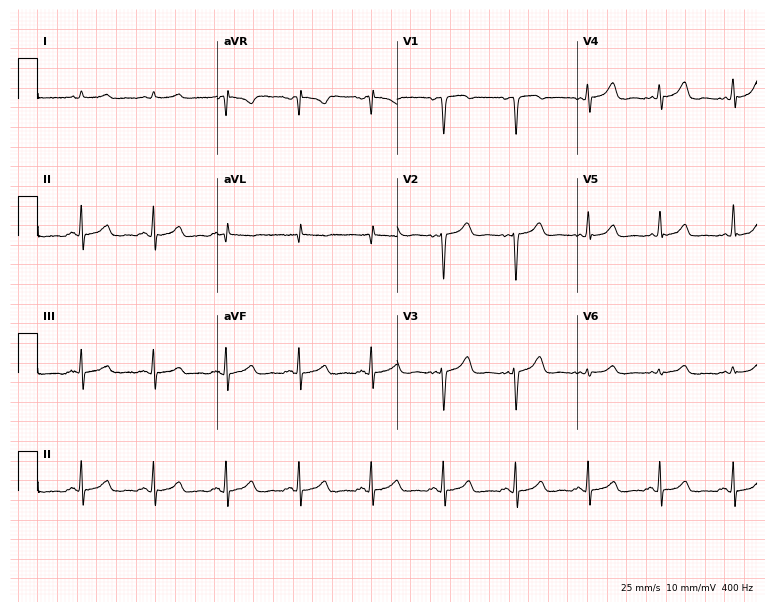
Standard 12-lead ECG recorded from a 45-year-old female patient (7.3-second recording at 400 Hz). None of these six findings is recorded: first-degree AV block, right bundle branch block (RBBB), left bundle branch block (LBBB), sinus bradycardia, atrial fibrillation (AF), sinus tachycardia.